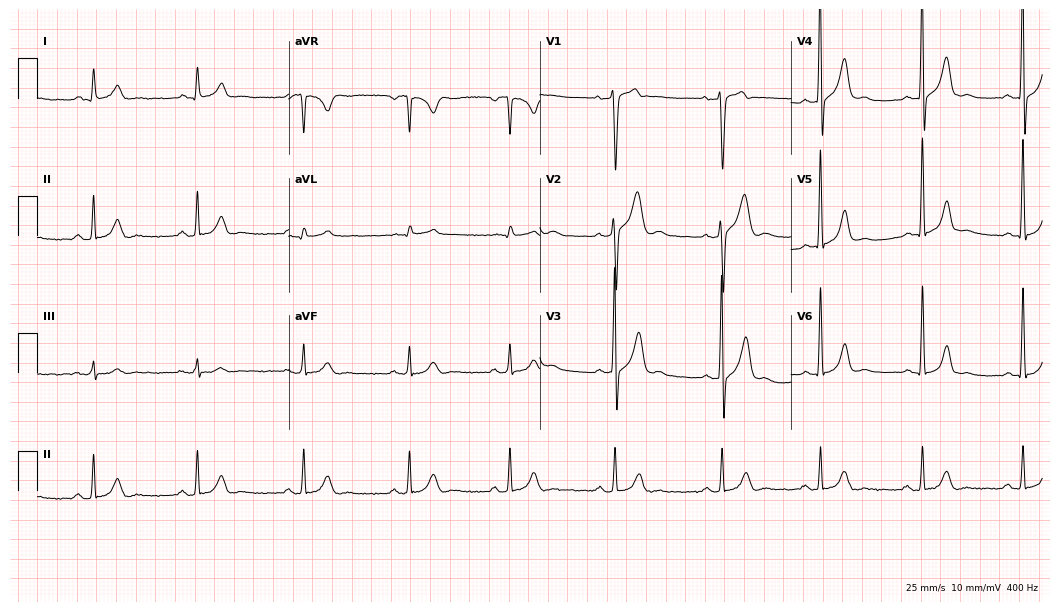
12-lead ECG from a man, 39 years old (10.2-second recording at 400 Hz). Recorded interpretation: within normal limits.